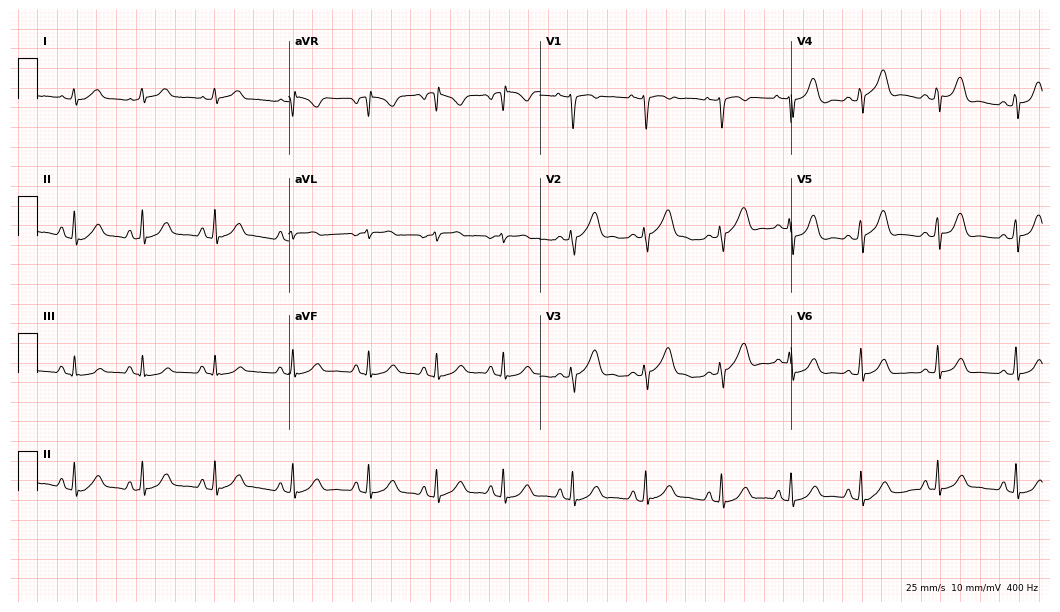
ECG — a 22-year-old female patient. Screened for six findings — first-degree AV block, right bundle branch block, left bundle branch block, sinus bradycardia, atrial fibrillation, sinus tachycardia — none is recorded.